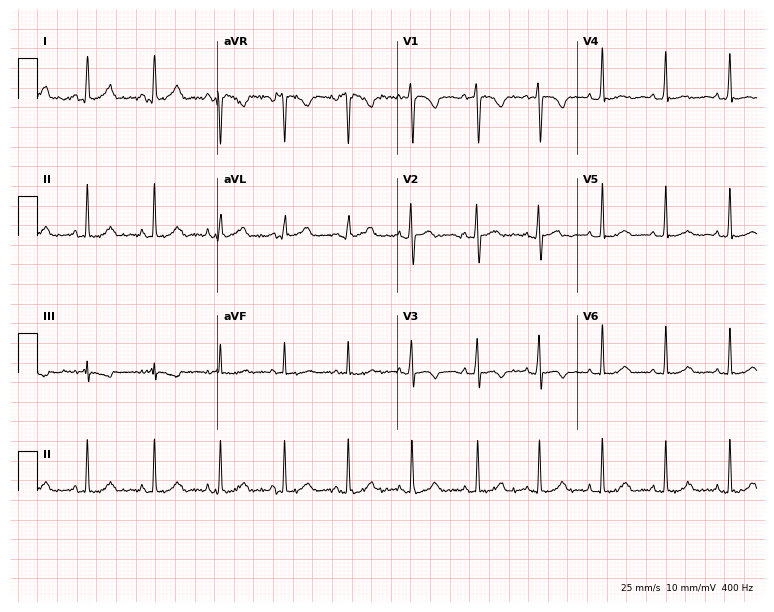
Resting 12-lead electrocardiogram (7.3-second recording at 400 Hz). Patient: a 19-year-old female. Read as a normal ECG.